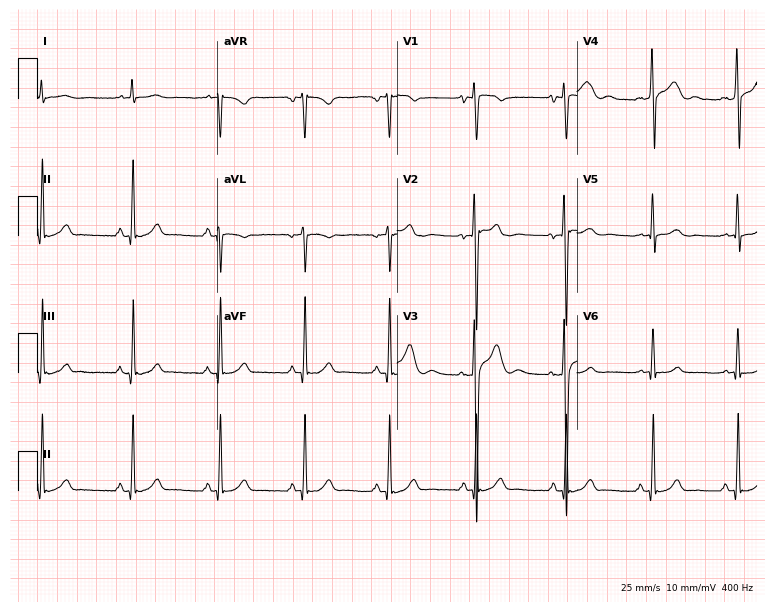
Electrocardiogram, a 21-year-old man. Overall reading on record: normal ECG.